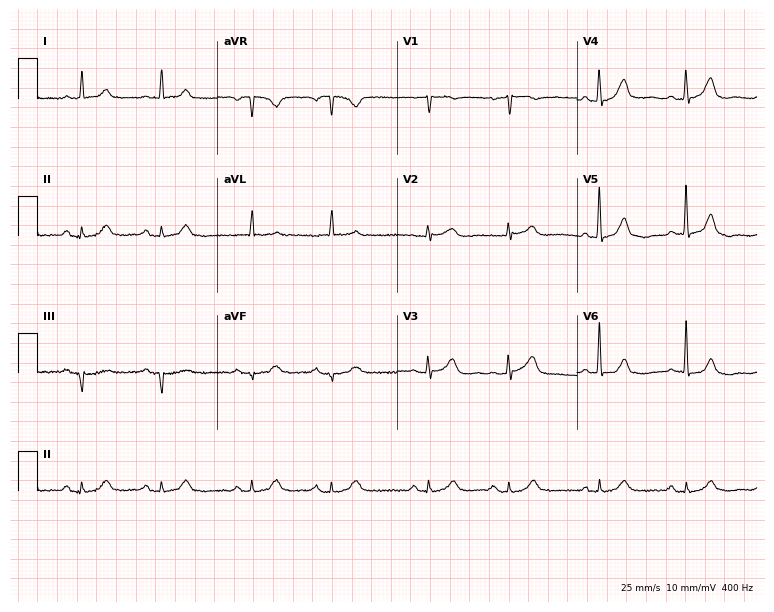
ECG — an 84-year-old man. Labelled as a normal ECG.